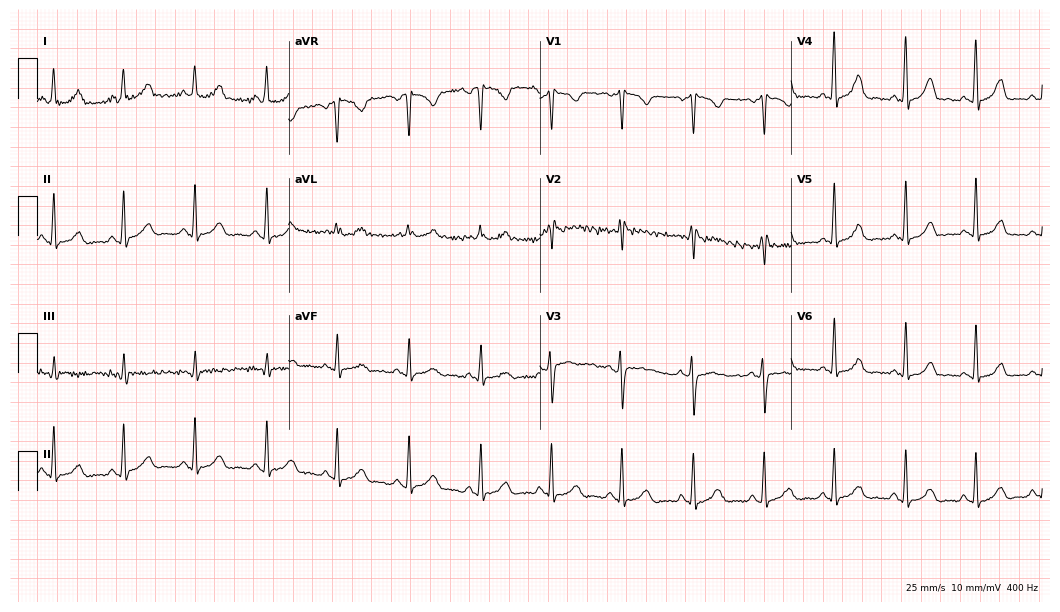
Electrocardiogram (10.2-second recording at 400 Hz), a woman, 37 years old. Of the six screened findings (first-degree AV block, right bundle branch block, left bundle branch block, sinus bradycardia, atrial fibrillation, sinus tachycardia), none is recorded.